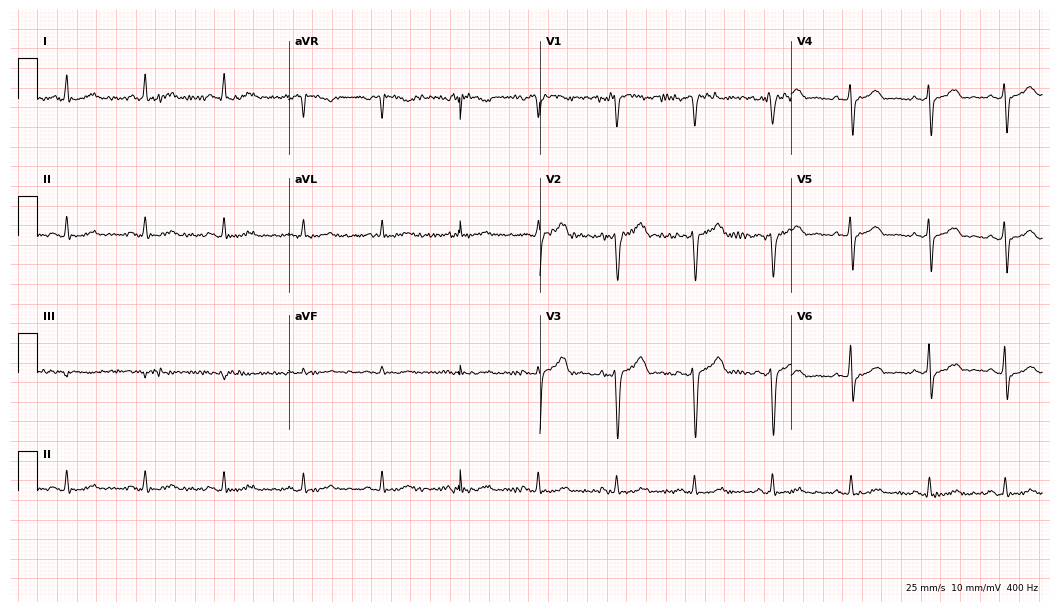
ECG (10.2-second recording at 400 Hz) — a 64-year-old male. Screened for six findings — first-degree AV block, right bundle branch block, left bundle branch block, sinus bradycardia, atrial fibrillation, sinus tachycardia — none is recorded.